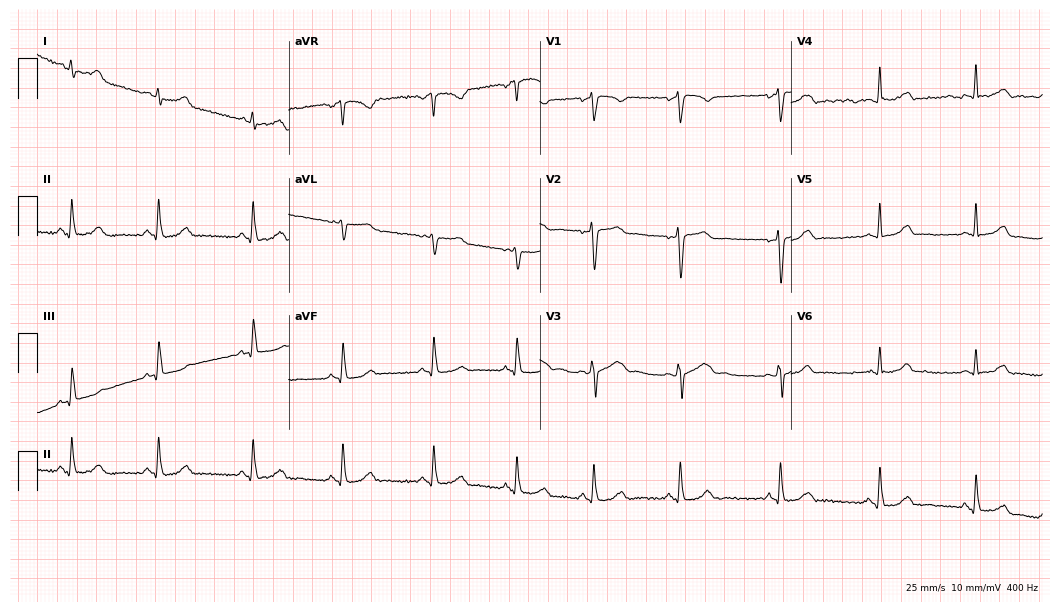
ECG (10.2-second recording at 400 Hz) — a 27-year-old woman. Screened for six findings — first-degree AV block, right bundle branch block (RBBB), left bundle branch block (LBBB), sinus bradycardia, atrial fibrillation (AF), sinus tachycardia — none is recorded. Other findings, if any, are not listed.